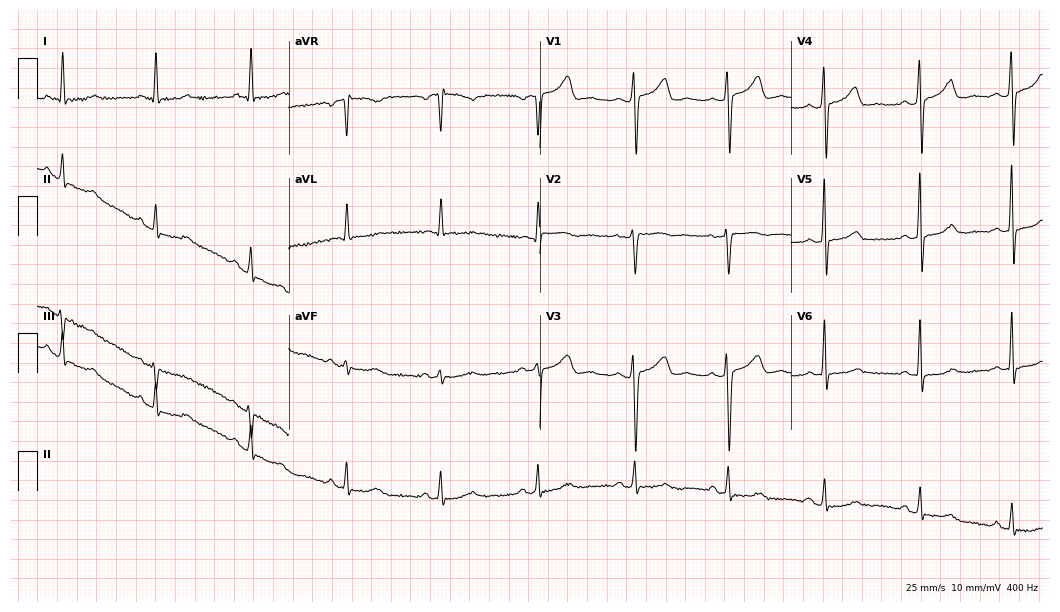
Resting 12-lead electrocardiogram. Patient: a woman, 32 years old. Read as a normal ECG.